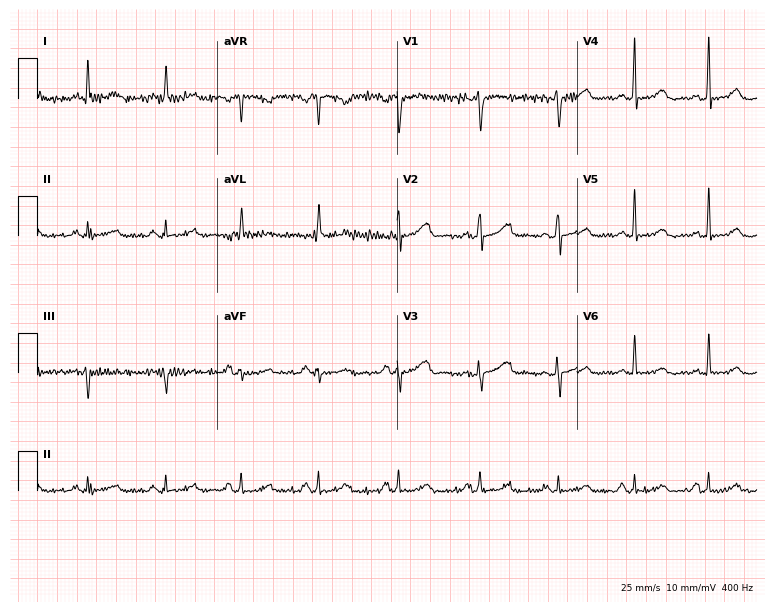
12-lead ECG from a 48-year-old woman. Screened for six findings — first-degree AV block, right bundle branch block, left bundle branch block, sinus bradycardia, atrial fibrillation, sinus tachycardia — none is recorded.